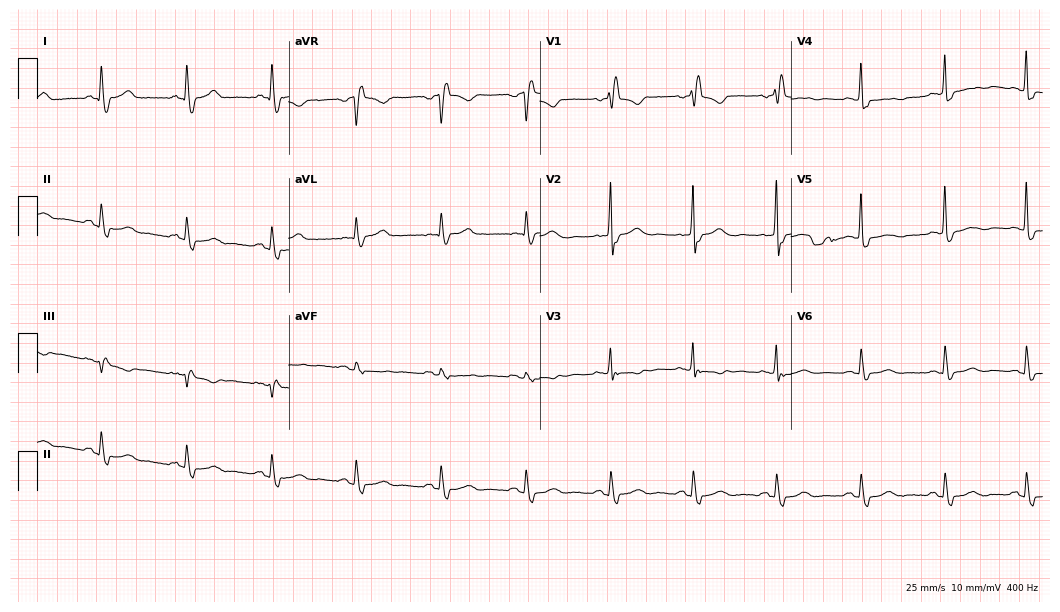
12-lead ECG from a woman, 83 years old (10.2-second recording at 400 Hz). Shows right bundle branch block.